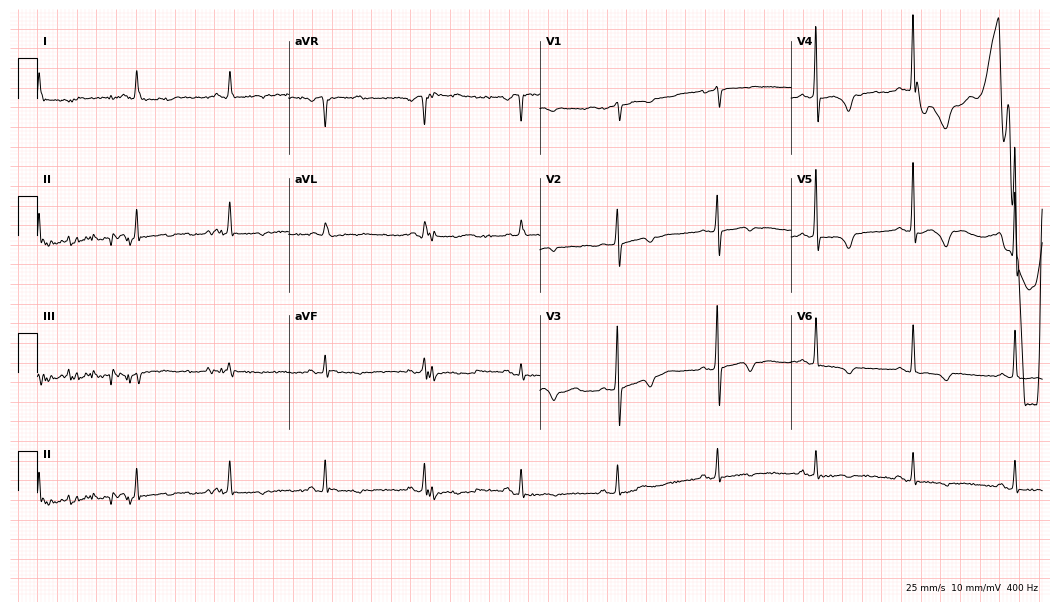
12-lead ECG from a female patient, 75 years old. Screened for six findings — first-degree AV block, right bundle branch block, left bundle branch block, sinus bradycardia, atrial fibrillation, sinus tachycardia — none is recorded. Only these six findings were labelled.